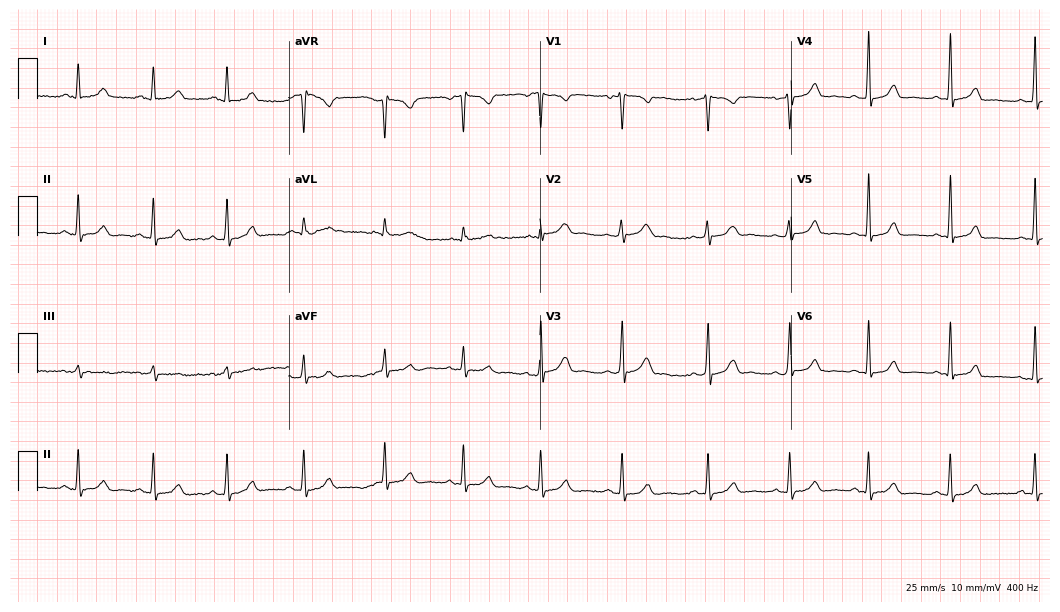
12-lead ECG (10.2-second recording at 400 Hz) from a female patient, 26 years old. Labelled as a normal ECG.